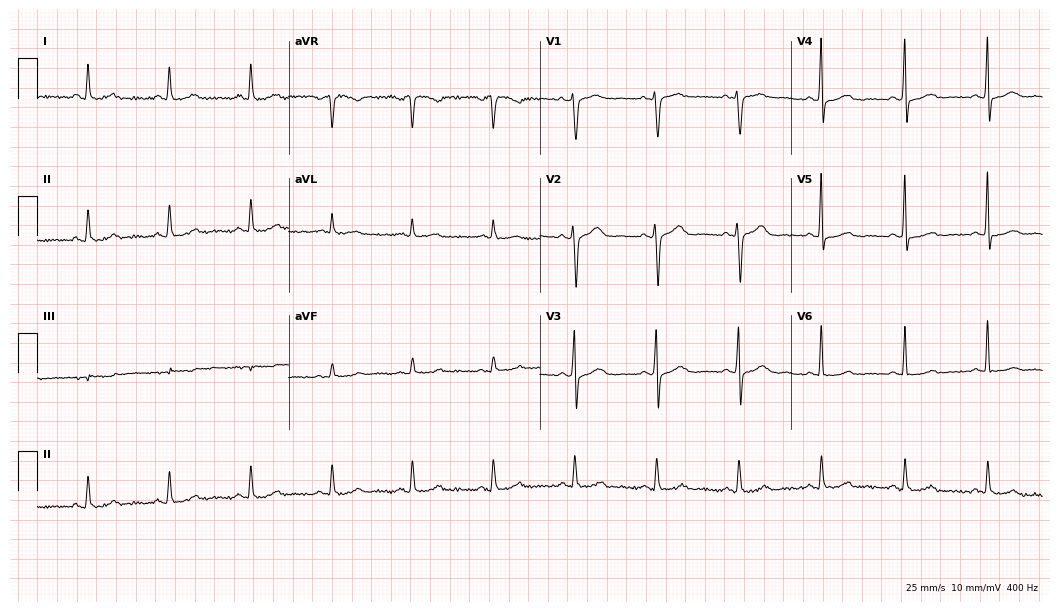
ECG — a 60-year-old female patient. Labelled as a normal ECG.